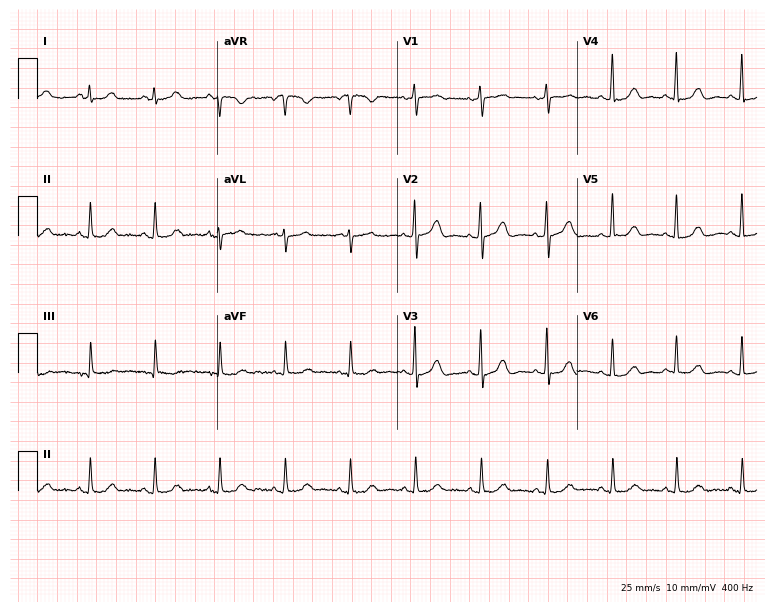
ECG — a female, 79 years old. Labelled as a normal ECG.